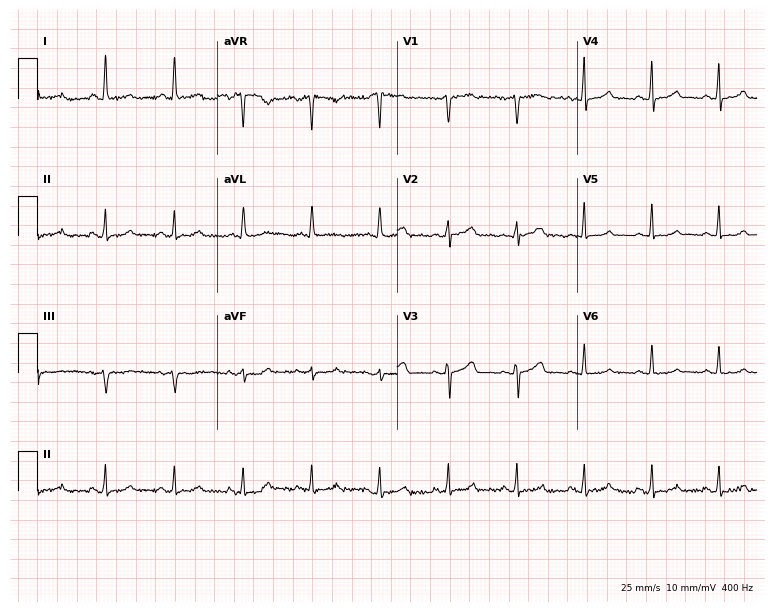
12-lead ECG from a female, 55 years old. Recorded interpretation: within normal limits.